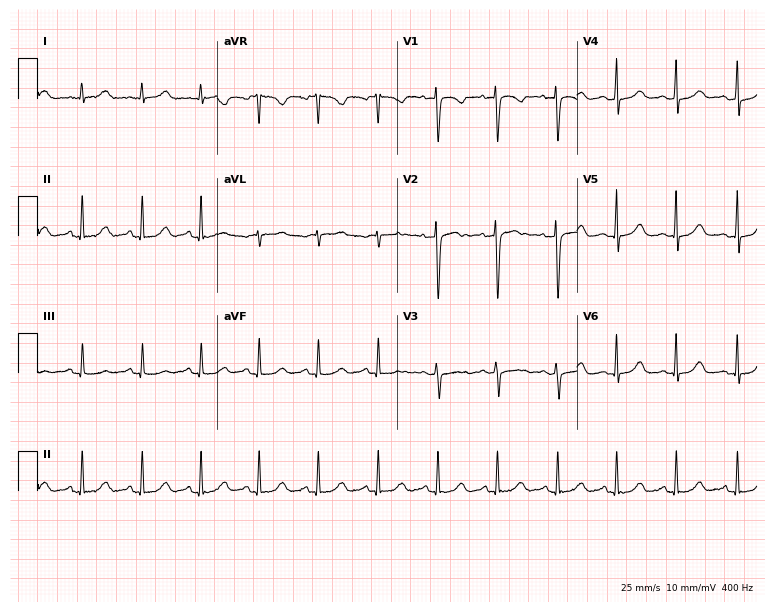
12-lead ECG (7.3-second recording at 400 Hz) from a female, 23 years old. Labelled as a normal ECG.